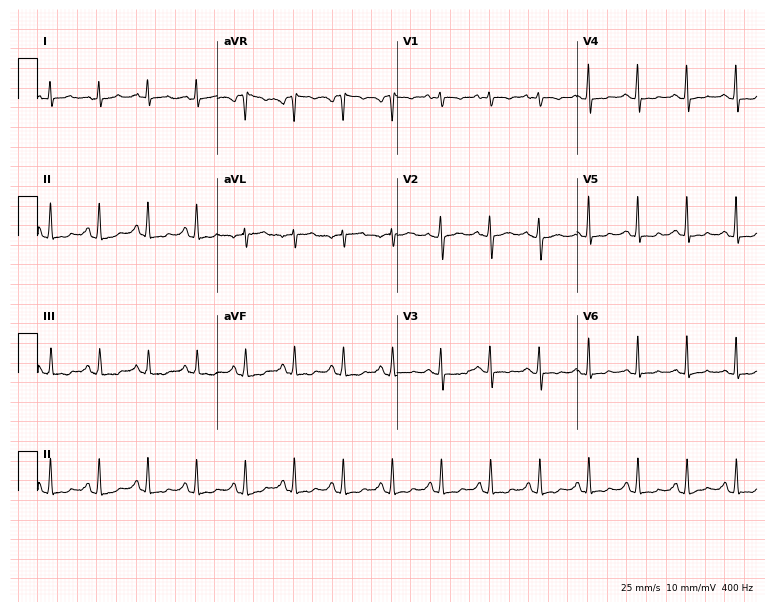
ECG — a female patient, 33 years old. Findings include sinus tachycardia (a sinus rate of 100 beats per minute or more).